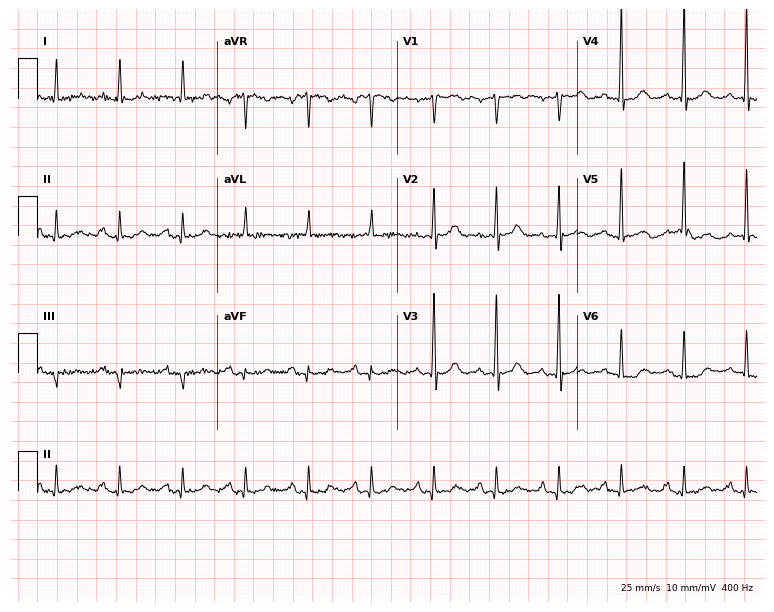
ECG (7.3-second recording at 400 Hz) — a male, 75 years old. Labelled as a normal ECG.